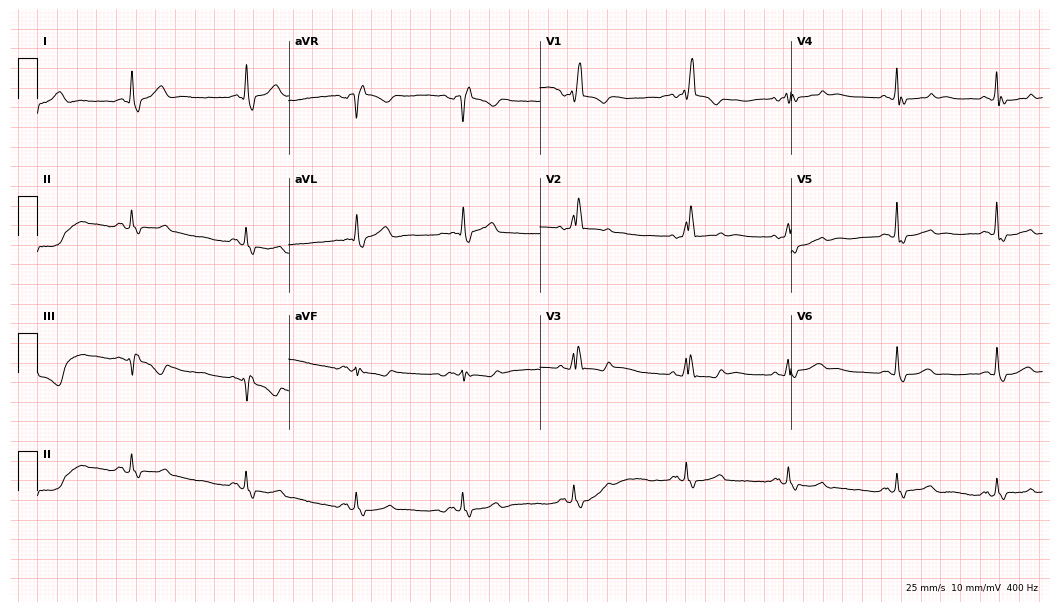
Standard 12-lead ECG recorded from an 81-year-old female patient (10.2-second recording at 400 Hz). The tracing shows right bundle branch block (RBBB).